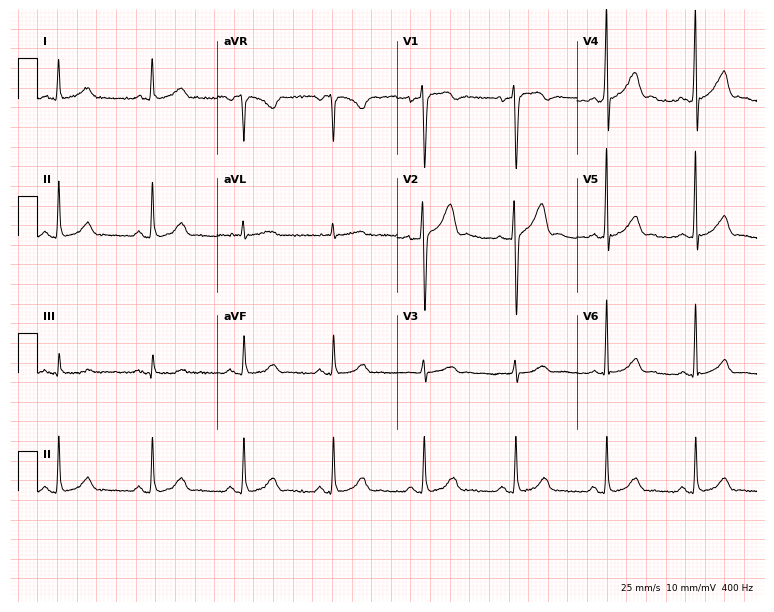
12-lead ECG from a male patient, 48 years old. No first-degree AV block, right bundle branch block (RBBB), left bundle branch block (LBBB), sinus bradycardia, atrial fibrillation (AF) or sinus tachycardia recorded for this tracing.